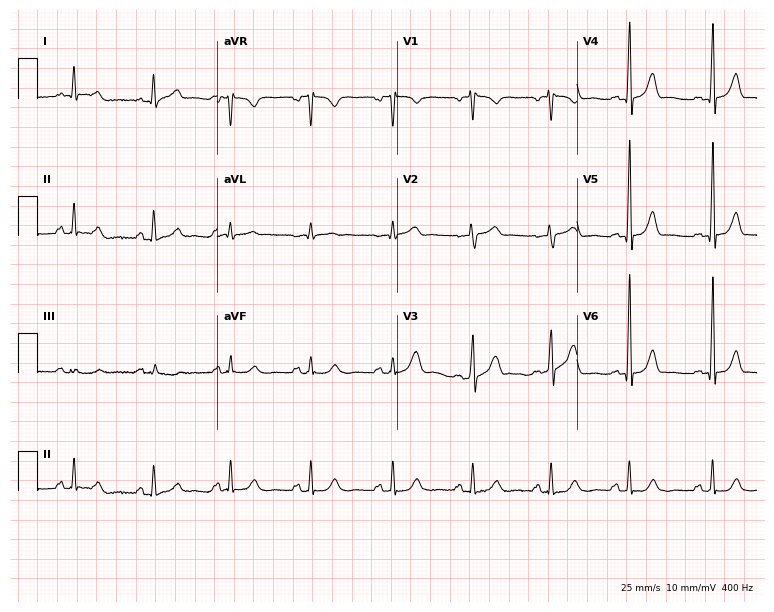
12-lead ECG (7.3-second recording at 400 Hz) from a woman, 59 years old. Screened for six findings — first-degree AV block, right bundle branch block (RBBB), left bundle branch block (LBBB), sinus bradycardia, atrial fibrillation (AF), sinus tachycardia — none is recorded.